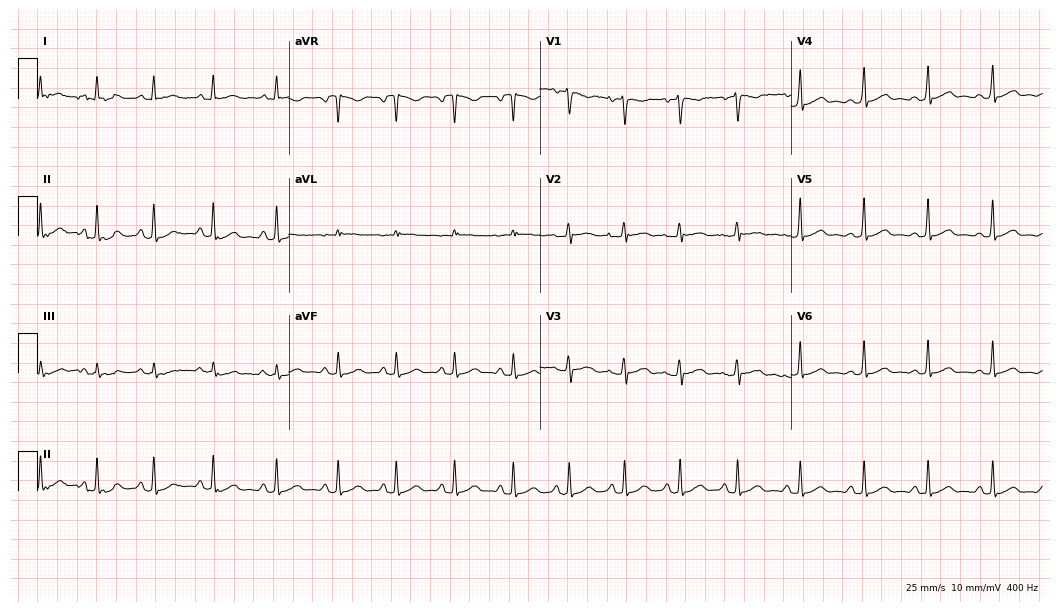
Electrocardiogram (10.2-second recording at 400 Hz), a 19-year-old woman. Of the six screened findings (first-degree AV block, right bundle branch block (RBBB), left bundle branch block (LBBB), sinus bradycardia, atrial fibrillation (AF), sinus tachycardia), none is recorded. Only these six findings were labelled.